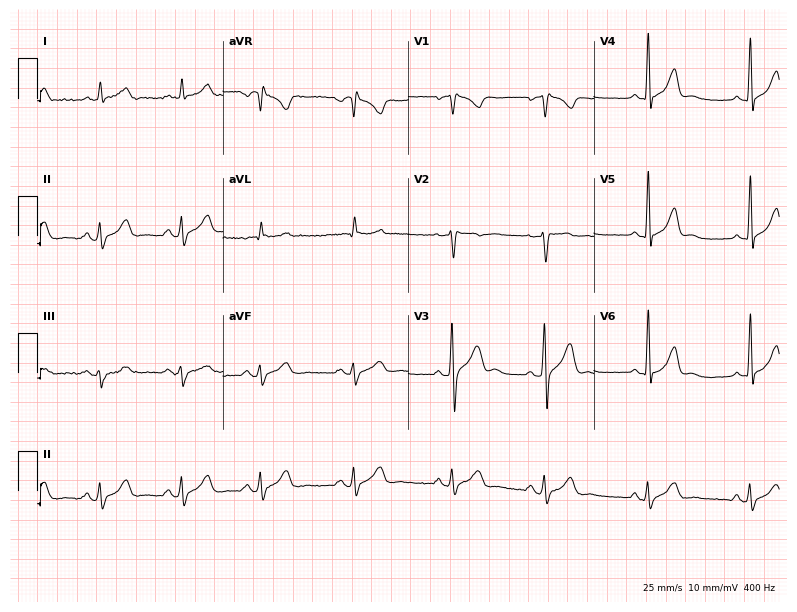
Standard 12-lead ECG recorded from a 48-year-old man. Read as a normal ECG.